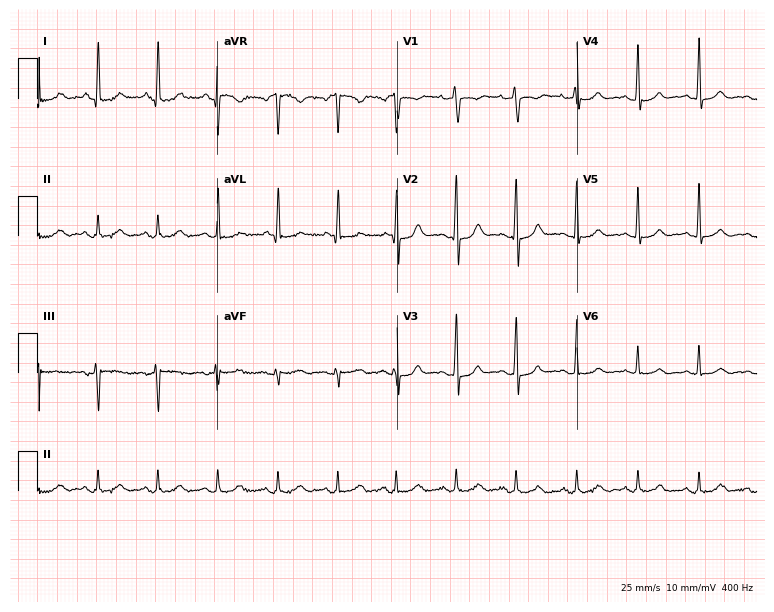
ECG (7.3-second recording at 400 Hz) — a 43-year-old female. Labelled as a normal ECG.